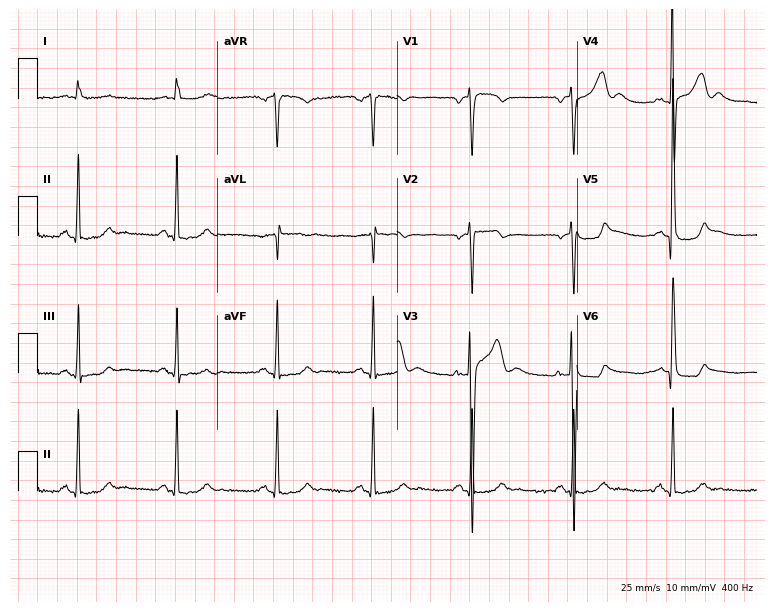
Standard 12-lead ECG recorded from a 54-year-old male patient. None of these six findings is recorded: first-degree AV block, right bundle branch block, left bundle branch block, sinus bradycardia, atrial fibrillation, sinus tachycardia.